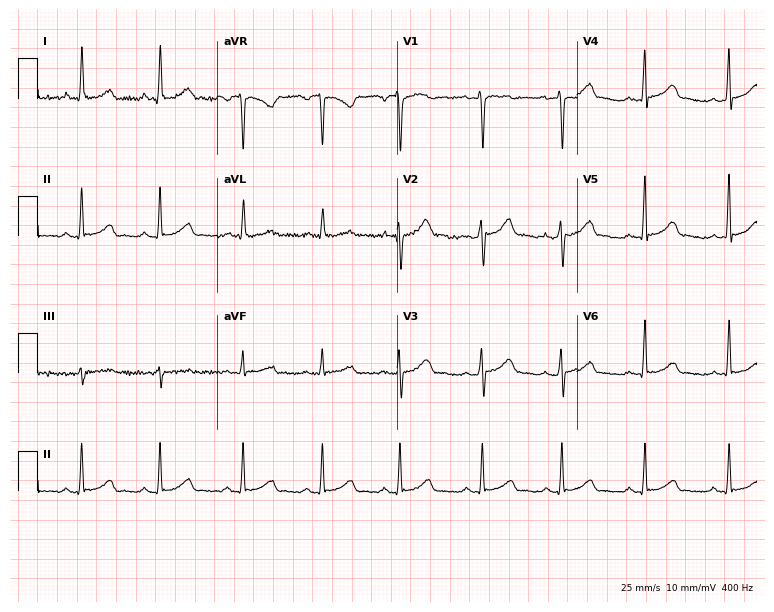
Resting 12-lead electrocardiogram. Patient: a 28-year-old woman. Read as a normal ECG.